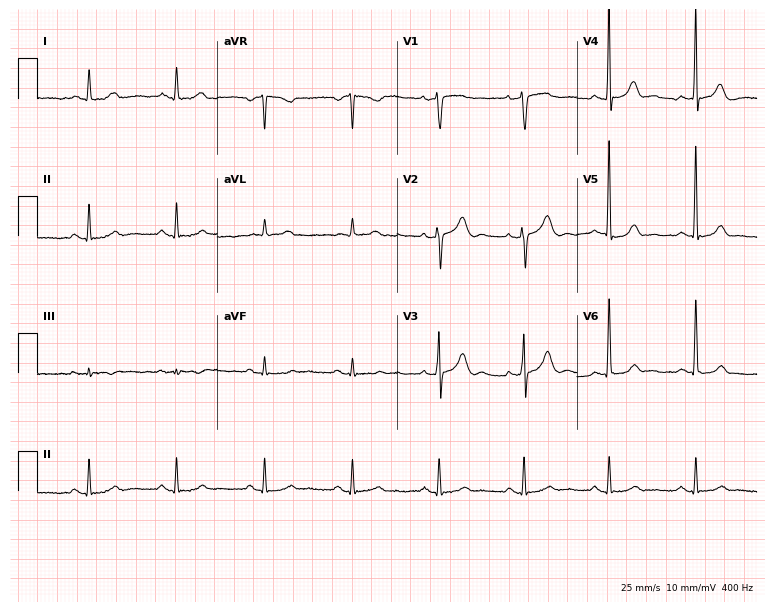
Electrocardiogram (7.3-second recording at 400 Hz), a female, 56 years old. Overall reading on record: normal ECG.